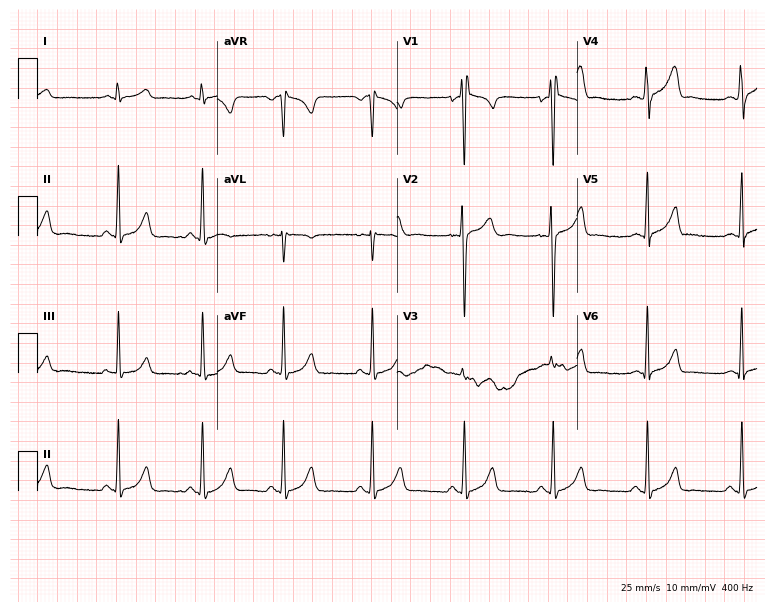
Resting 12-lead electrocardiogram. Patient: a 17-year-old male. None of these six findings is recorded: first-degree AV block, right bundle branch block (RBBB), left bundle branch block (LBBB), sinus bradycardia, atrial fibrillation (AF), sinus tachycardia. Other findings, if any, are not listed.